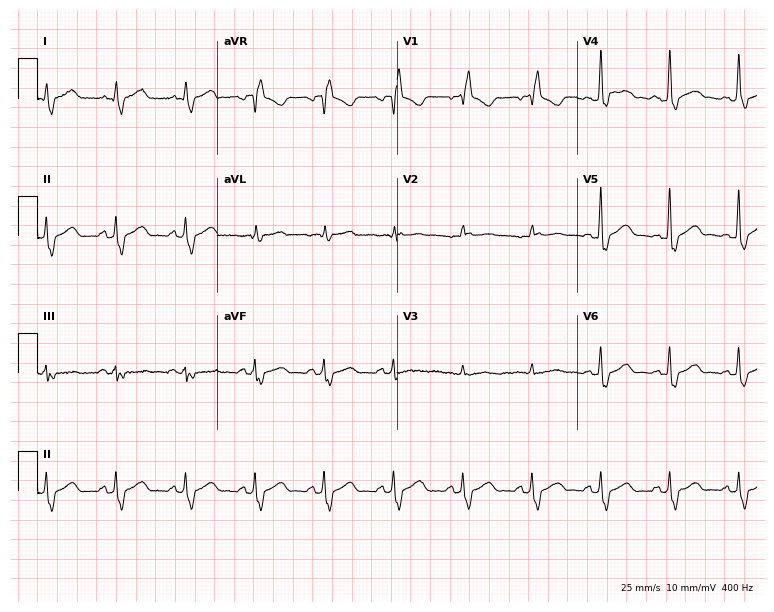
Electrocardiogram, a female patient, 53 years old. Interpretation includes right bundle branch block.